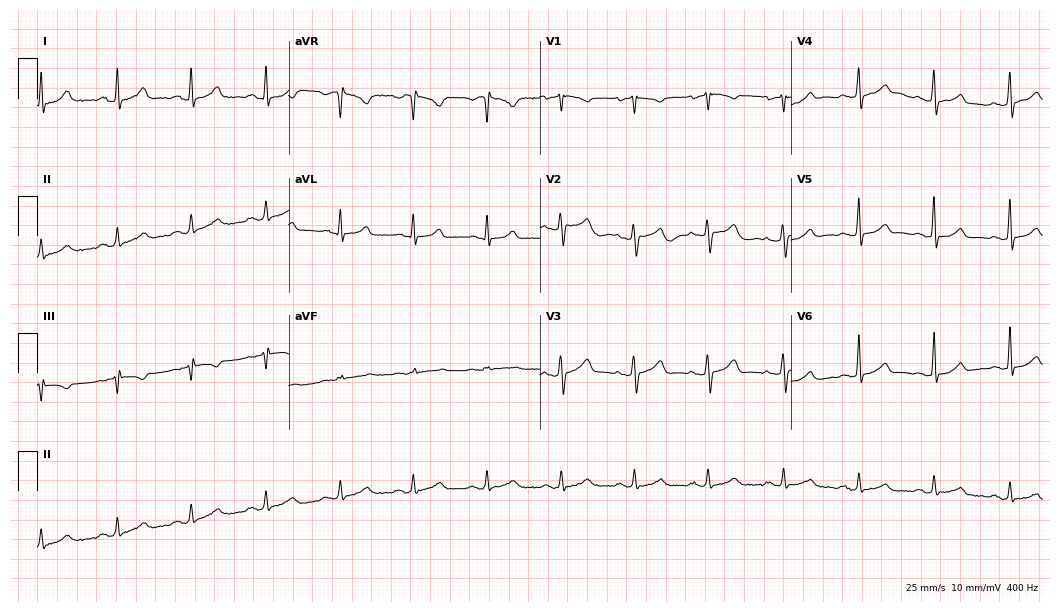
ECG (10.2-second recording at 400 Hz) — a 37-year-old woman. Labelled as a normal ECG.